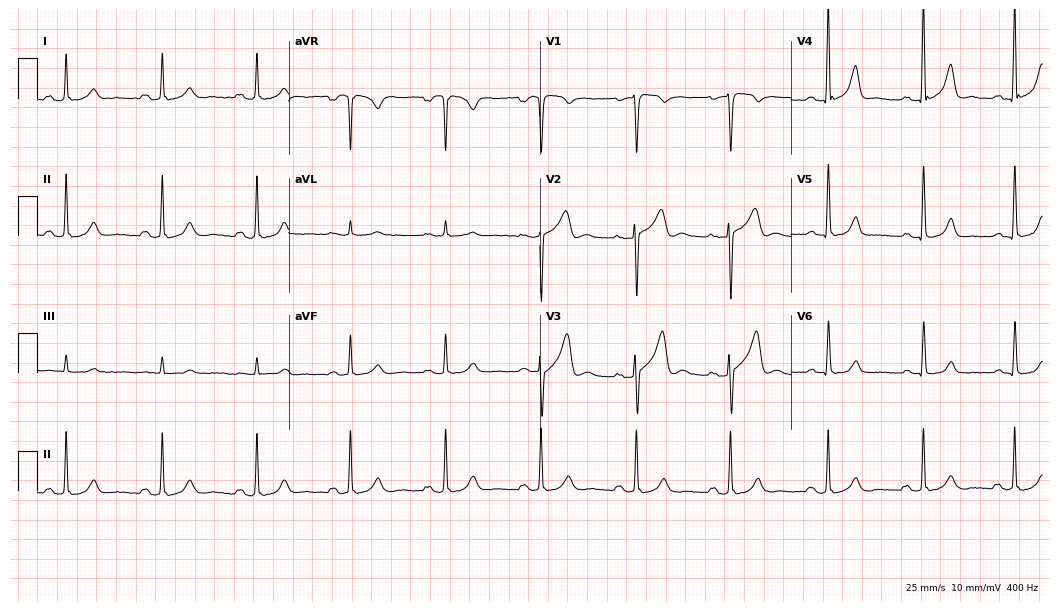
Standard 12-lead ECG recorded from a 34-year-old man (10.2-second recording at 400 Hz). Read as a normal ECG.